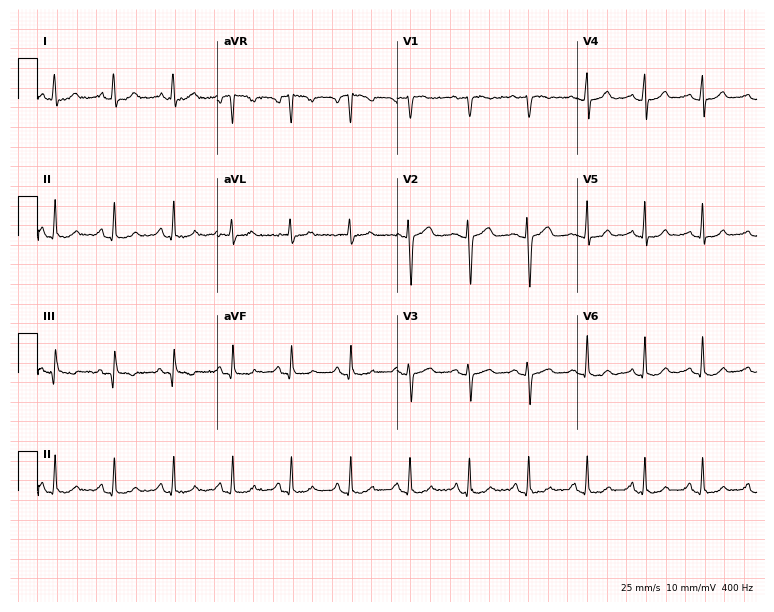
12-lead ECG from a 22-year-old female patient. Recorded interpretation: within normal limits.